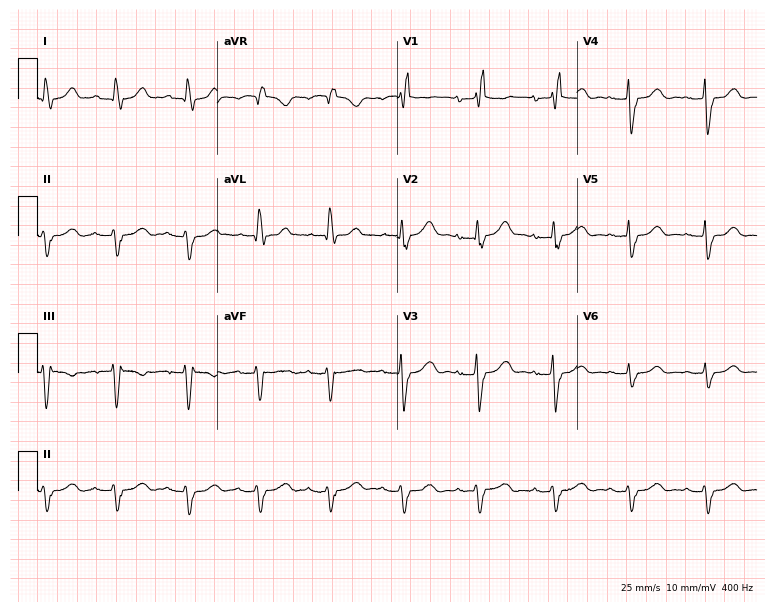
Resting 12-lead electrocardiogram (7.3-second recording at 400 Hz). Patient: a 75-year-old woman. The tracing shows first-degree AV block.